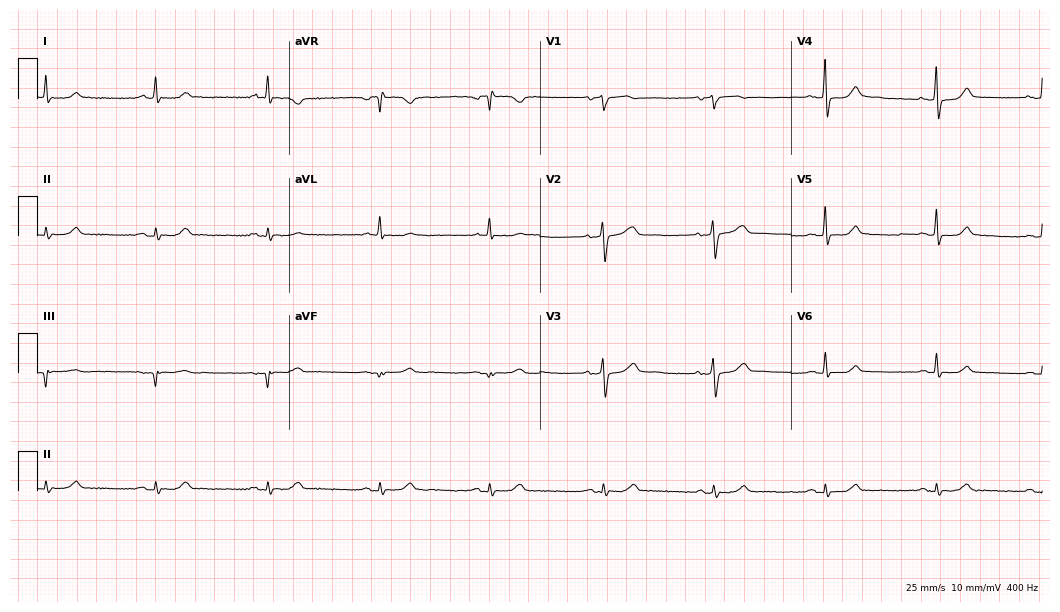
Standard 12-lead ECG recorded from a female, 63 years old. Read as a normal ECG.